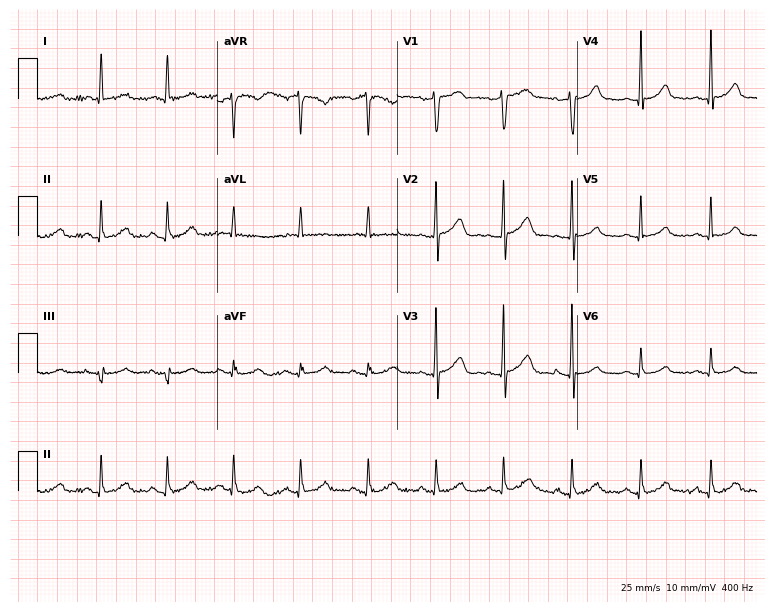
12-lead ECG from a 65-year-old woman. Labelled as a normal ECG.